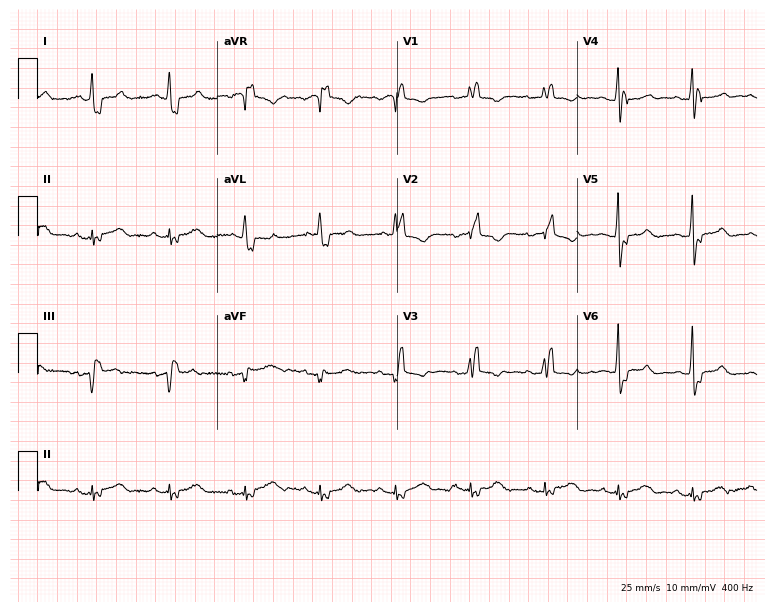
Resting 12-lead electrocardiogram. Patient: a 67-year-old female. The tracing shows right bundle branch block.